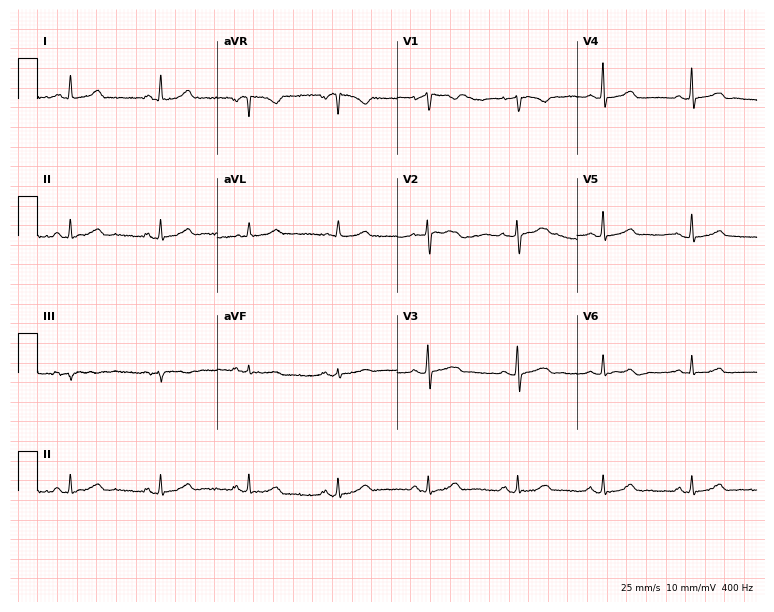
Standard 12-lead ECG recorded from a 46-year-old female patient (7.3-second recording at 400 Hz). None of these six findings is recorded: first-degree AV block, right bundle branch block, left bundle branch block, sinus bradycardia, atrial fibrillation, sinus tachycardia.